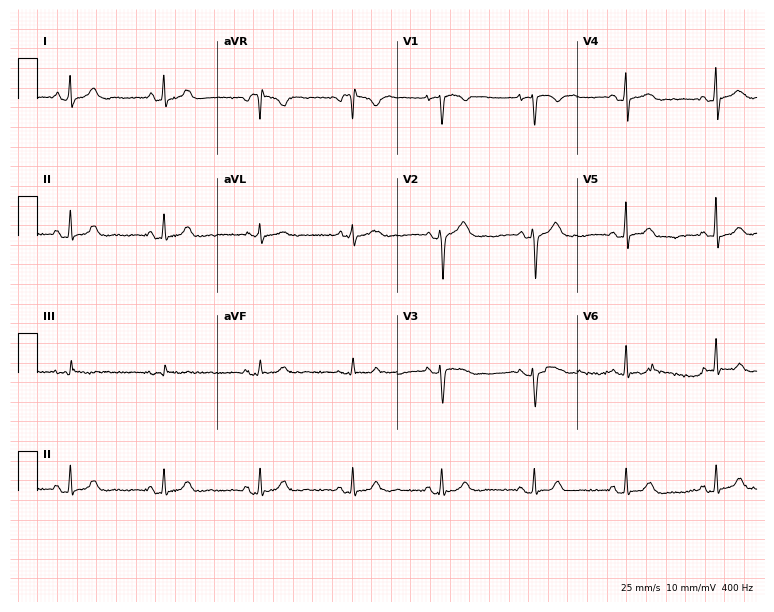
Standard 12-lead ECG recorded from a 25-year-old female patient (7.3-second recording at 400 Hz). Read as a normal ECG.